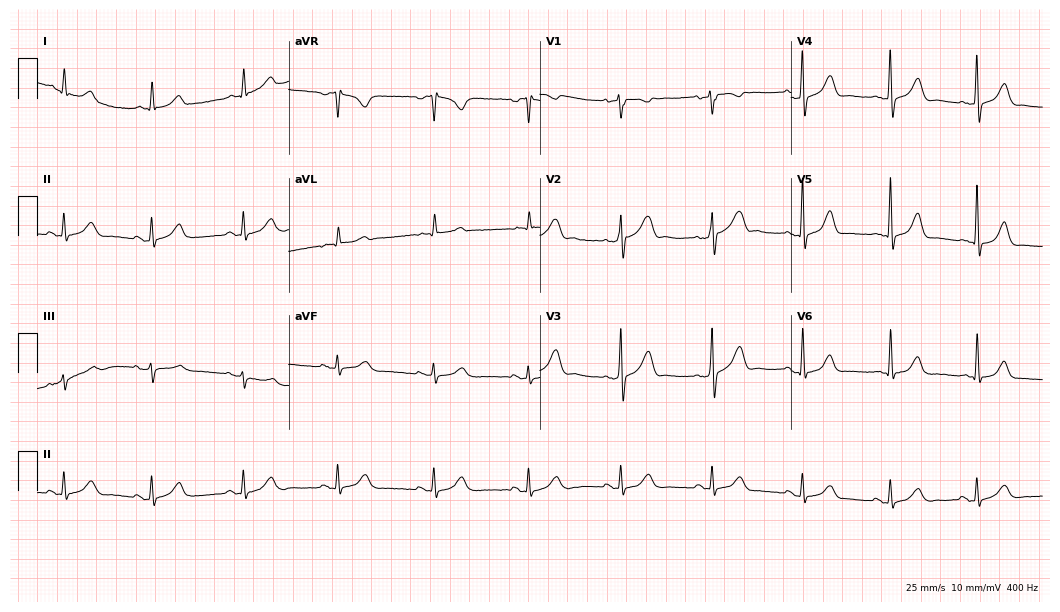
Resting 12-lead electrocardiogram (10.2-second recording at 400 Hz). Patient: a male, 55 years old. Read as a normal ECG.